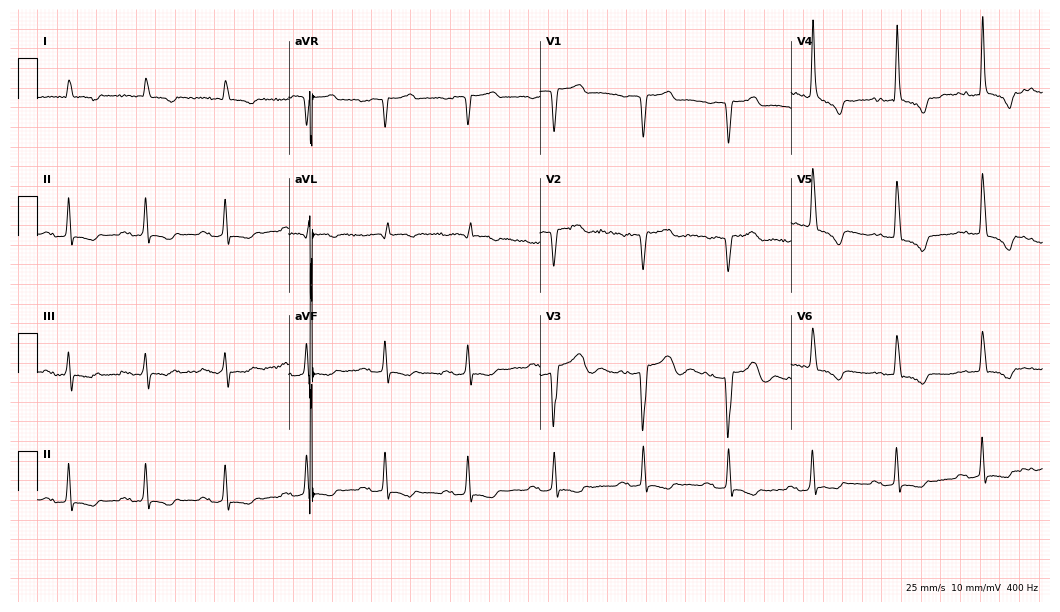
12-lead ECG from a 69-year-old male. Shows first-degree AV block.